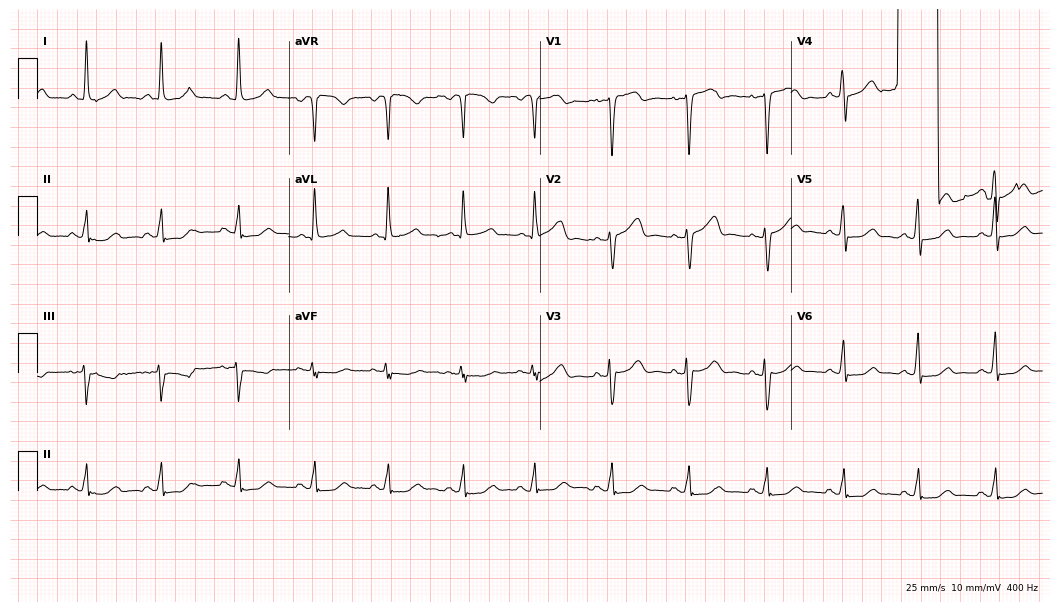
12-lead ECG (10.2-second recording at 400 Hz) from a female, 63 years old. Screened for six findings — first-degree AV block, right bundle branch block, left bundle branch block, sinus bradycardia, atrial fibrillation, sinus tachycardia — none is recorded.